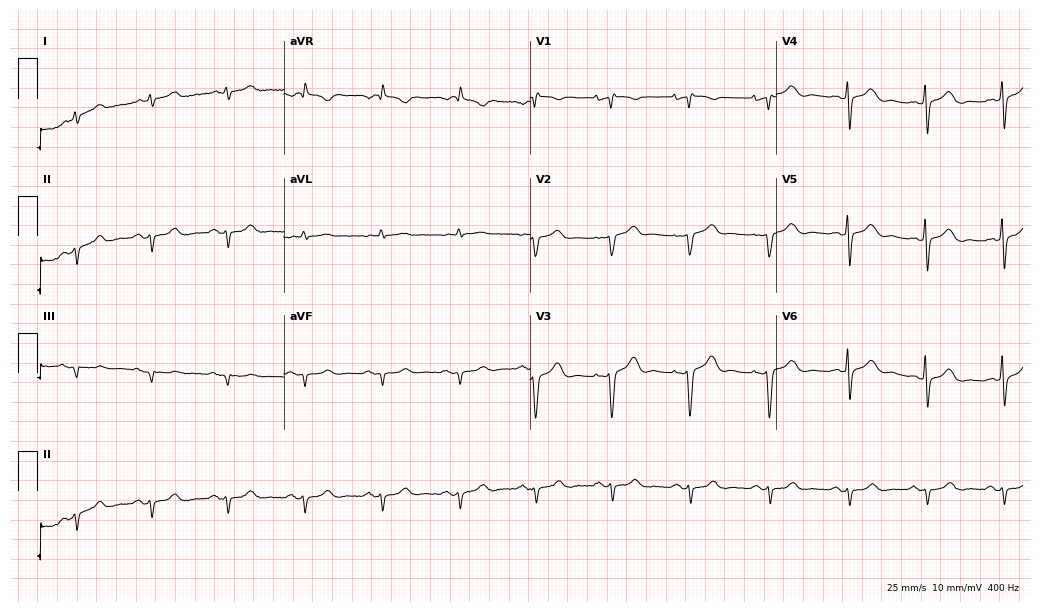
12-lead ECG from a woman, 67 years old. Screened for six findings — first-degree AV block, right bundle branch block, left bundle branch block, sinus bradycardia, atrial fibrillation, sinus tachycardia — none is recorded.